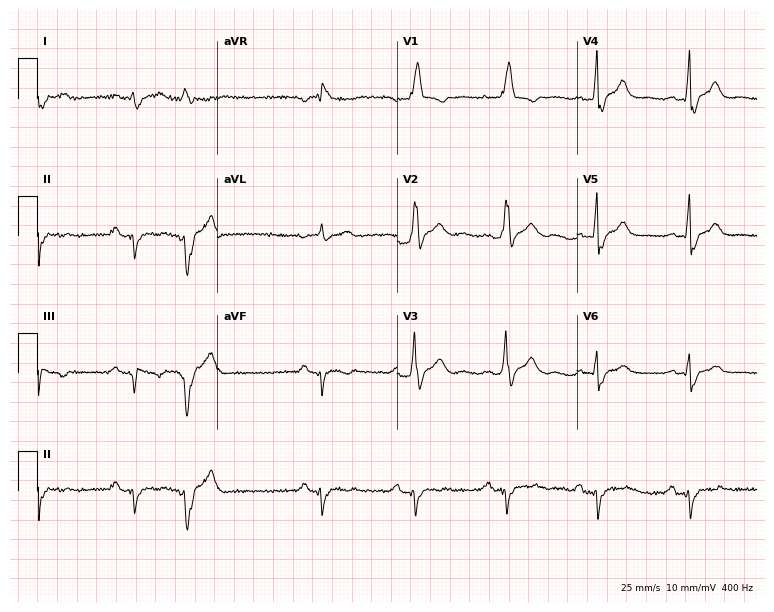
Standard 12-lead ECG recorded from a 61-year-old male (7.3-second recording at 400 Hz). The tracing shows right bundle branch block (RBBB).